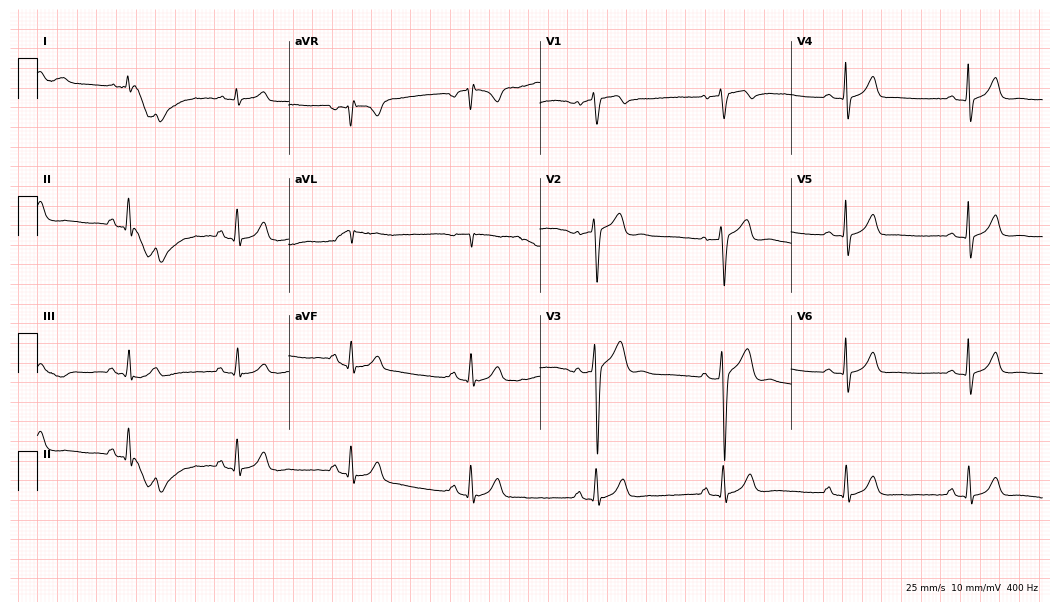
Standard 12-lead ECG recorded from a male, 54 years old (10.2-second recording at 400 Hz). Read as a normal ECG.